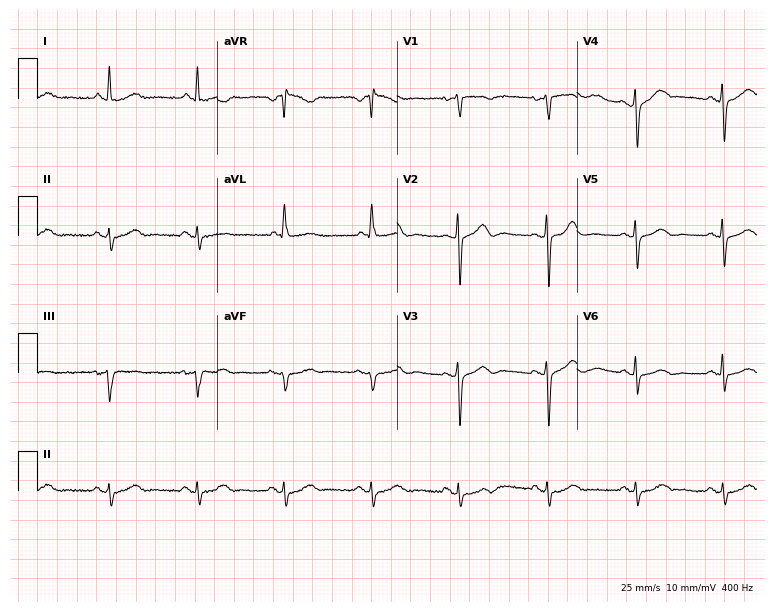
Standard 12-lead ECG recorded from an 81-year-old woman. None of these six findings is recorded: first-degree AV block, right bundle branch block, left bundle branch block, sinus bradycardia, atrial fibrillation, sinus tachycardia.